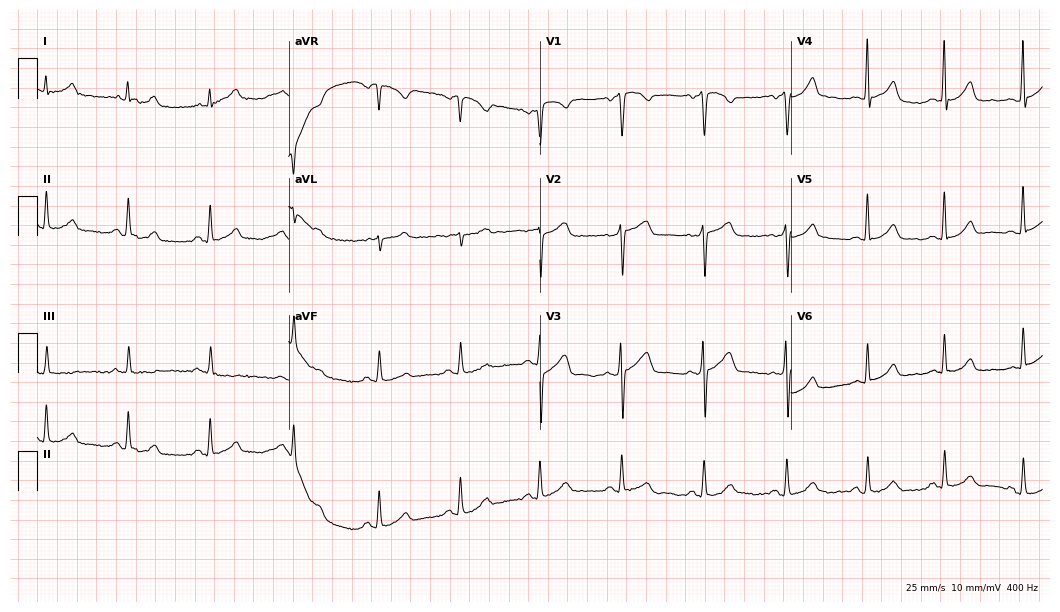
ECG (10.2-second recording at 400 Hz) — a 44-year-old male patient. Labelled as a normal ECG.